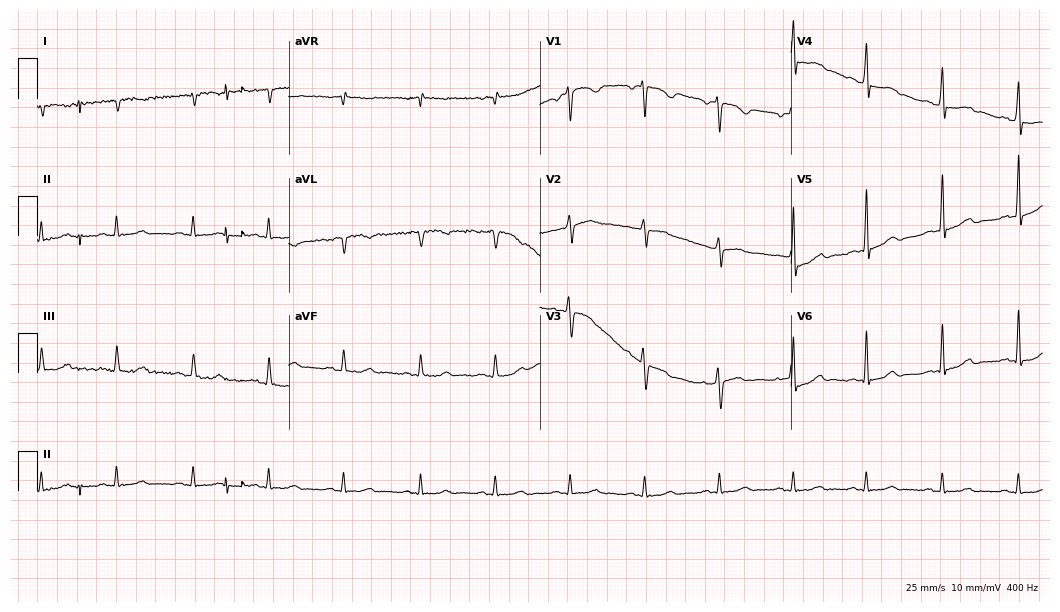
Electrocardiogram (10.2-second recording at 400 Hz), a 47-year-old female patient. Of the six screened findings (first-degree AV block, right bundle branch block (RBBB), left bundle branch block (LBBB), sinus bradycardia, atrial fibrillation (AF), sinus tachycardia), none is recorded.